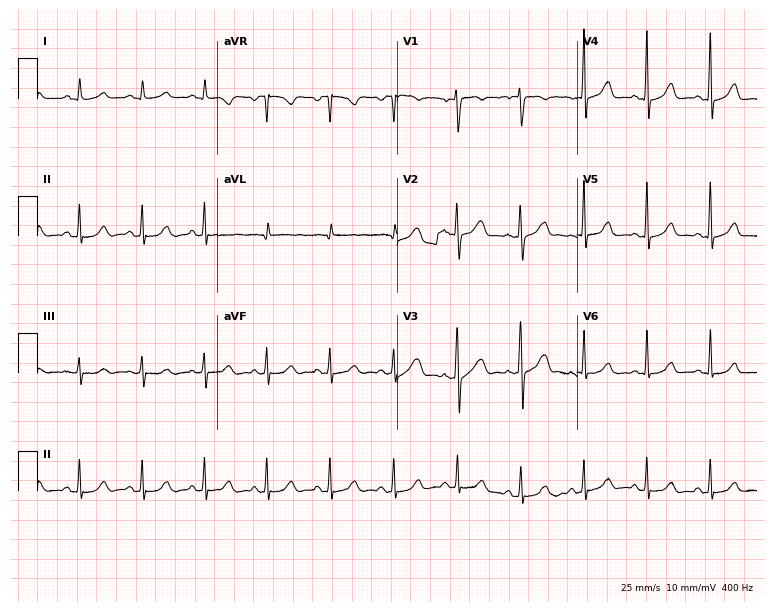
Electrocardiogram, a female patient, 31 years old. Of the six screened findings (first-degree AV block, right bundle branch block, left bundle branch block, sinus bradycardia, atrial fibrillation, sinus tachycardia), none is recorded.